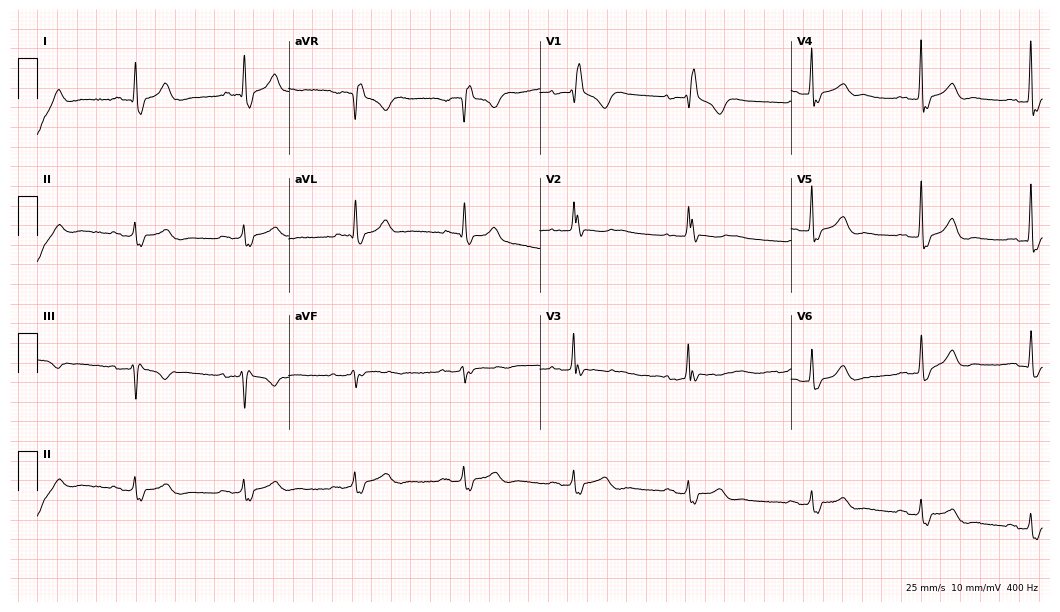
Standard 12-lead ECG recorded from a woman, 78 years old (10.2-second recording at 400 Hz). The tracing shows first-degree AV block, right bundle branch block.